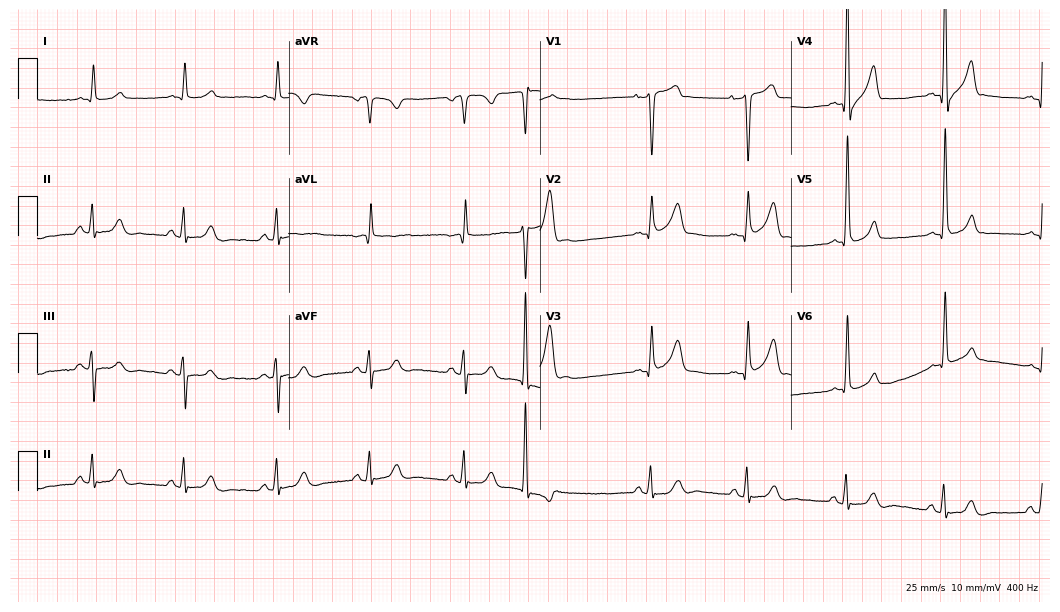
Standard 12-lead ECG recorded from a man, 66 years old (10.2-second recording at 400 Hz). None of these six findings is recorded: first-degree AV block, right bundle branch block (RBBB), left bundle branch block (LBBB), sinus bradycardia, atrial fibrillation (AF), sinus tachycardia. Only these six findings were labelled.